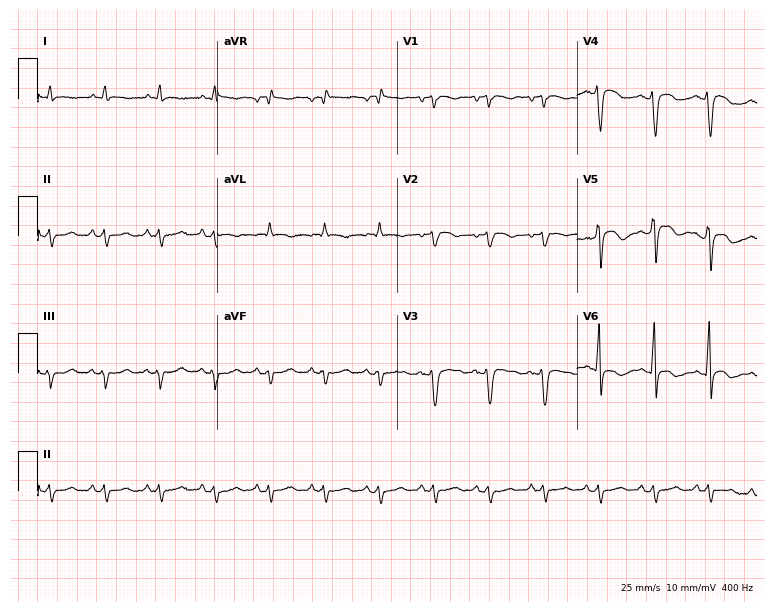
Standard 12-lead ECG recorded from a 63-year-old man (7.3-second recording at 400 Hz). The tracing shows sinus tachycardia (a sinus rate of 100 beats per minute or more).